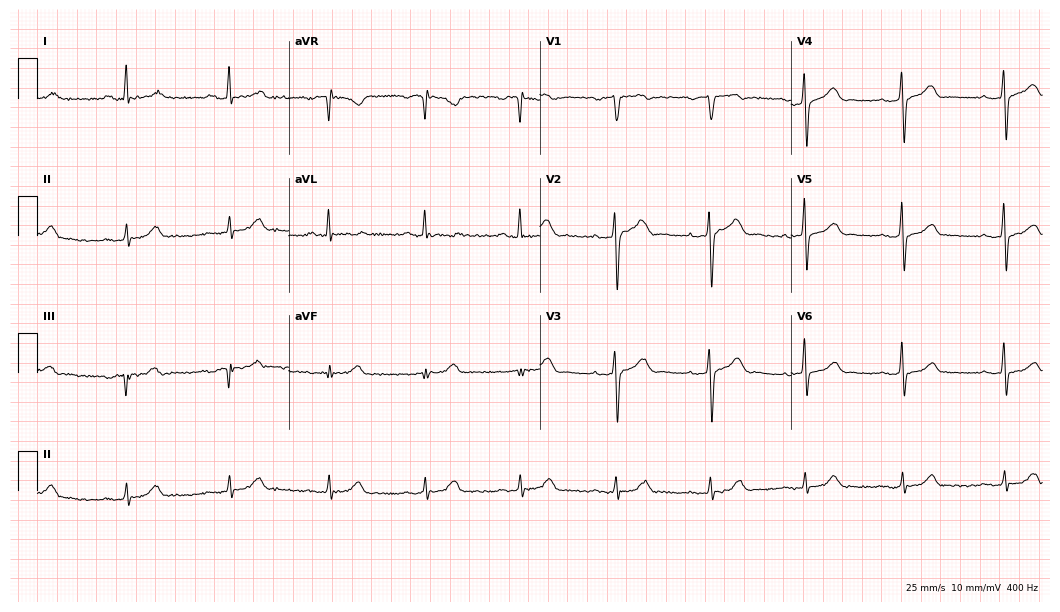
12-lead ECG (10.2-second recording at 400 Hz) from a 51-year-old male. Screened for six findings — first-degree AV block, right bundle branch block (RBBB), left bundle branch block (LBBB), sinus bradycardia, atrial fibrillation (AF), sinus tachycardia — none is recorded. Findings outside these six are not listed.